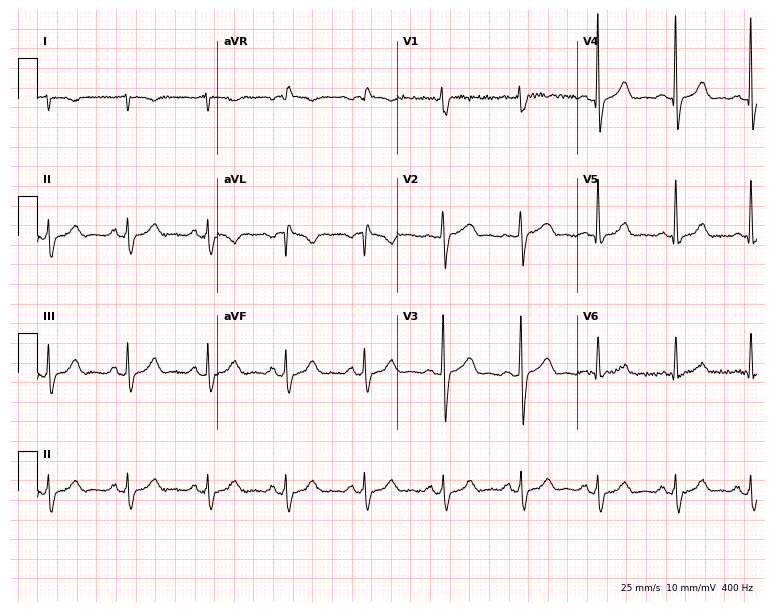
12-lead ECG from a man, 68 years old. Screened for six findings — first-degree AV block, right bundle branch block, left bundle branch block, sinus bradycardia, atrial fibrillation, sinus tachycardia — none is recorded.